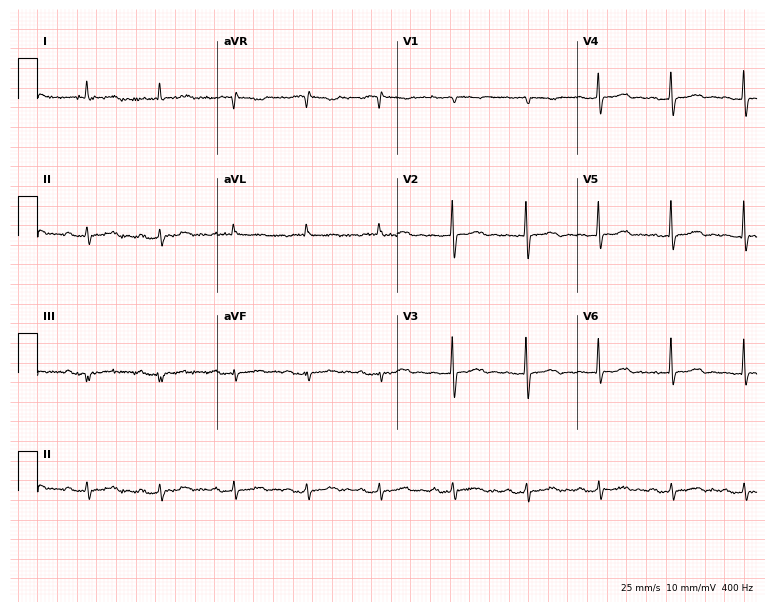
Electrocardiogram, a 77-year-old female patient. Of the six screened findings (first-degree AV block, right bundle branch block (RBBB), left bundle branch block (LBBB), sinus bradycardia, atrial fibrillation (AF), sinus tachycardia), none is recorded. Only these six findings were labelled.